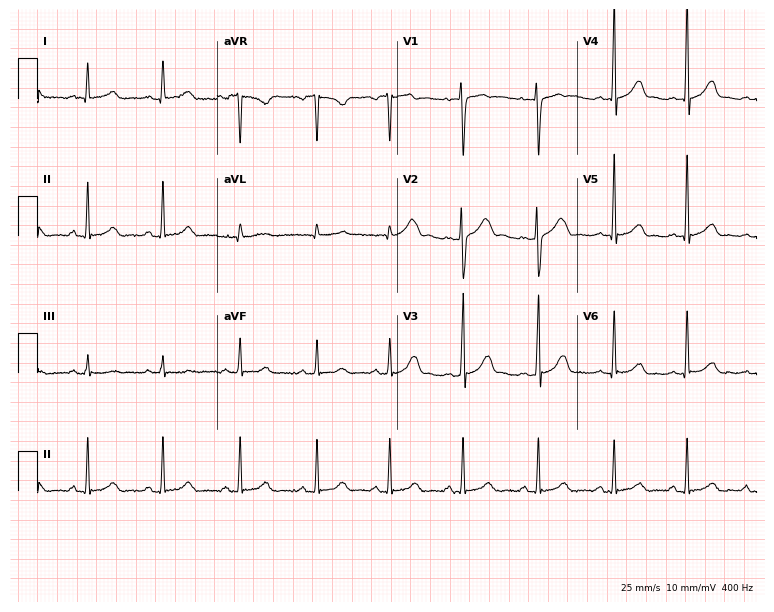
12-lead ECG from a 25-year-old woman (7.3-second recording at 400 Hz). Recorded interpretation: within normal limits.